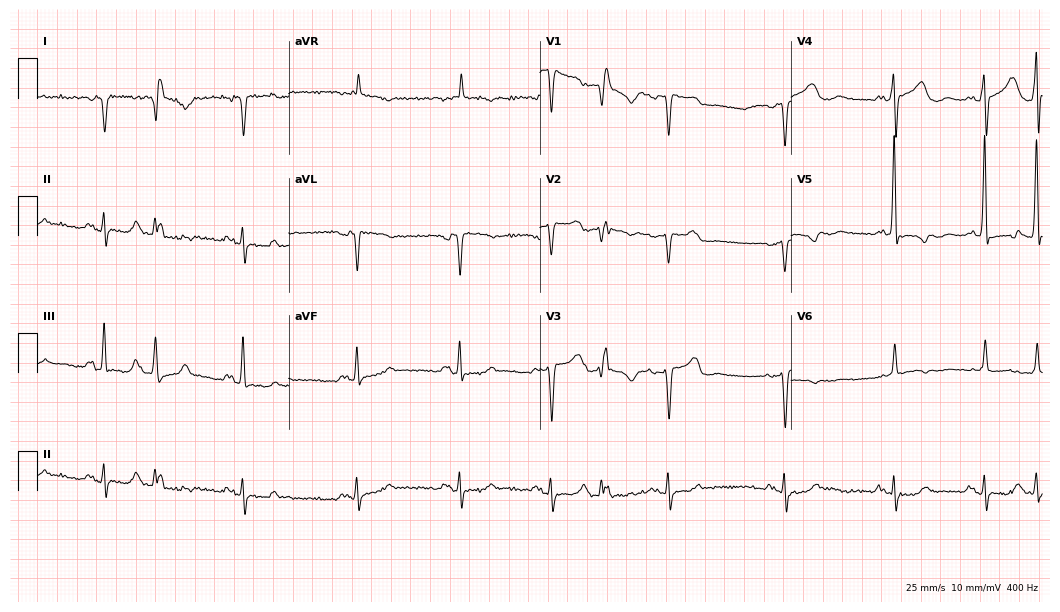
Resting 12-lead electrocardiogram (10.2-second recording at 400 Hz). Patient: a 71-year-old woman. None of these six findings is recorded: first-degree AV block, right bundle branch block (RBBB), left bundle branch block (LBBB), sinus bradycardia, atrial fibrillation (AF), sinus tachycardia. Findings outside these six are not listed.